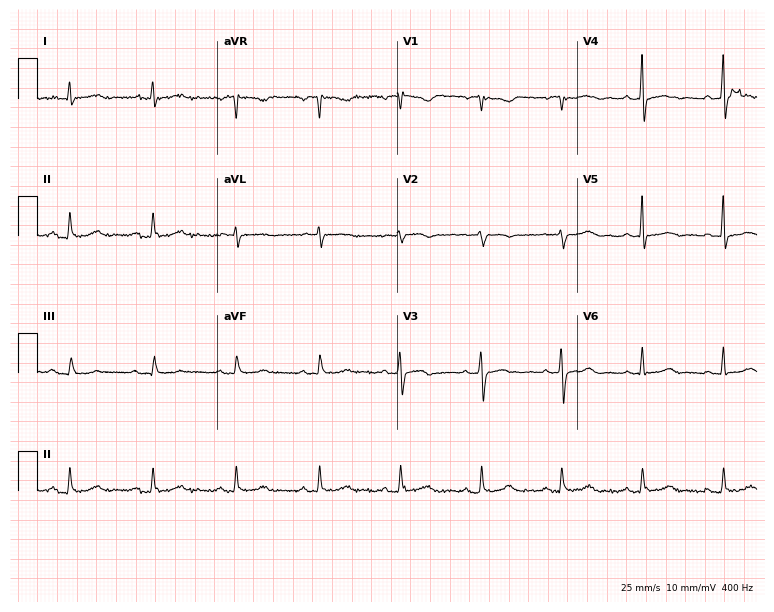
Electrocardiogram (7.3-second recording at 400 Hz), a woman, 72 years old. Of the six screened findings (first-degree AV block, right bundle branch block (RBBB), left bundle branch block (LBBB), sinus bradycardia, atrial fibrillation (AF), sinus tachycardia), none is recorded. Other findings, if any, are not listed.